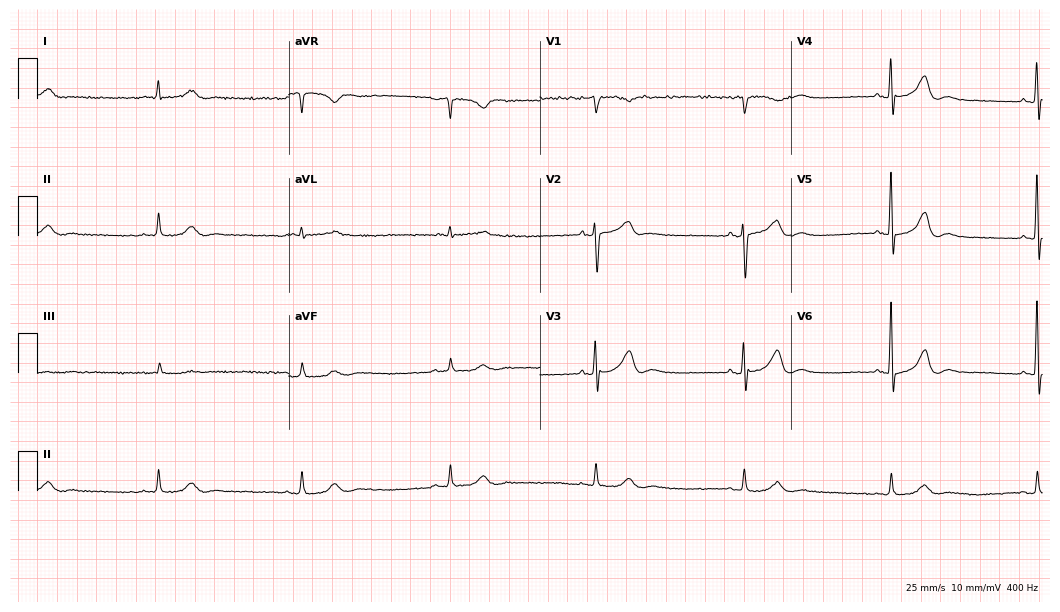
Electrocardiogram (10.2-second recording at 400 Hz), an 87-year-old man. Interpretation includes sinus bradycardia (a sinus rate of 50 beats per minute or less).